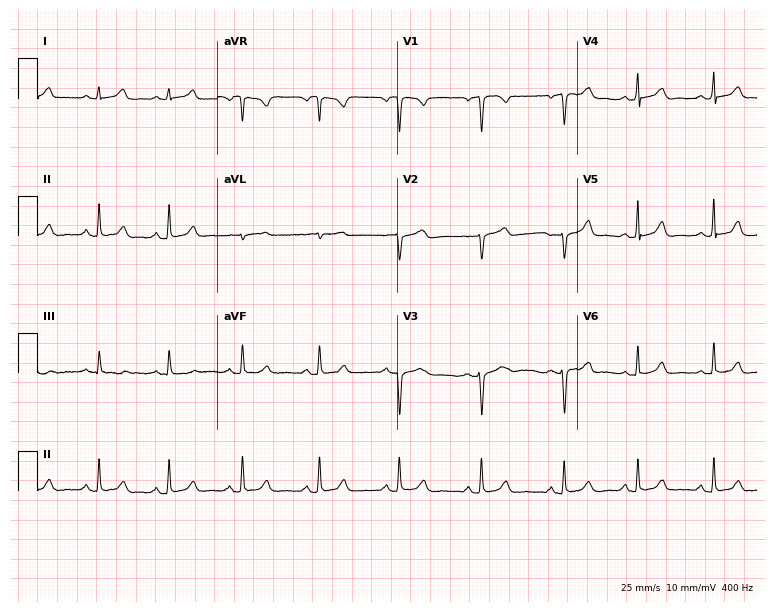
ECG — a 29-year-old female. Labelled as a normal ECG.